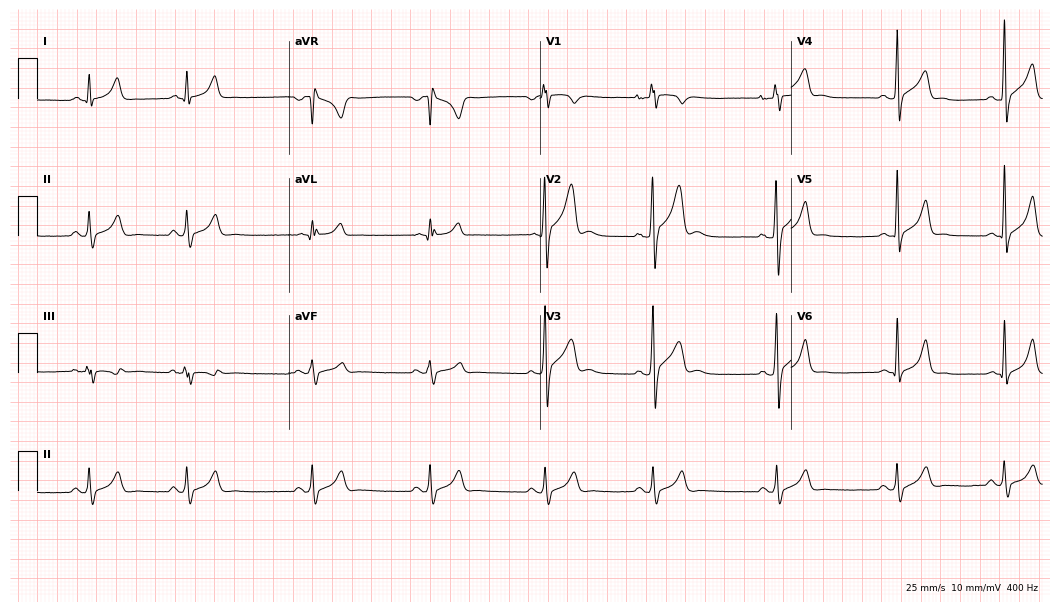
12-lead ECG (10.2-second recording at 400 Hz) from a male patient, 19 years old. Labelled as a normal ECG.